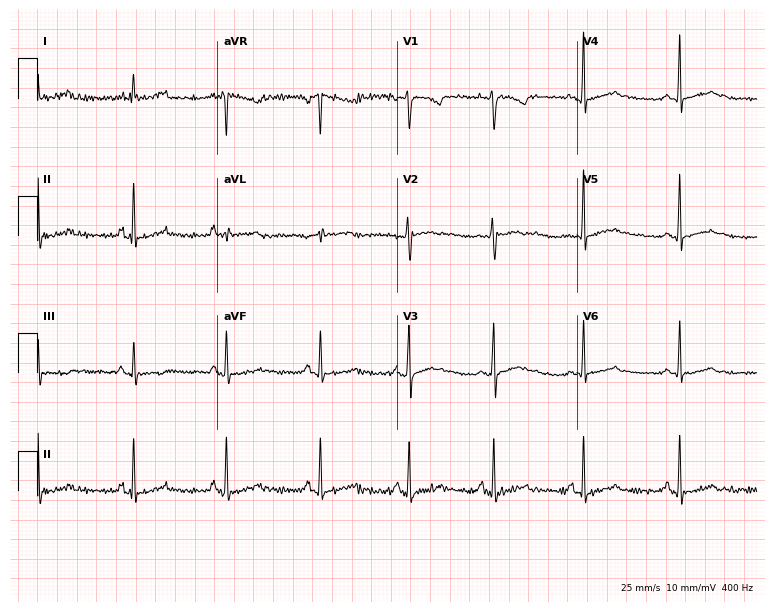
12-lead ECG from a 17-year-old female. Recorded interpretation: within normal limits.